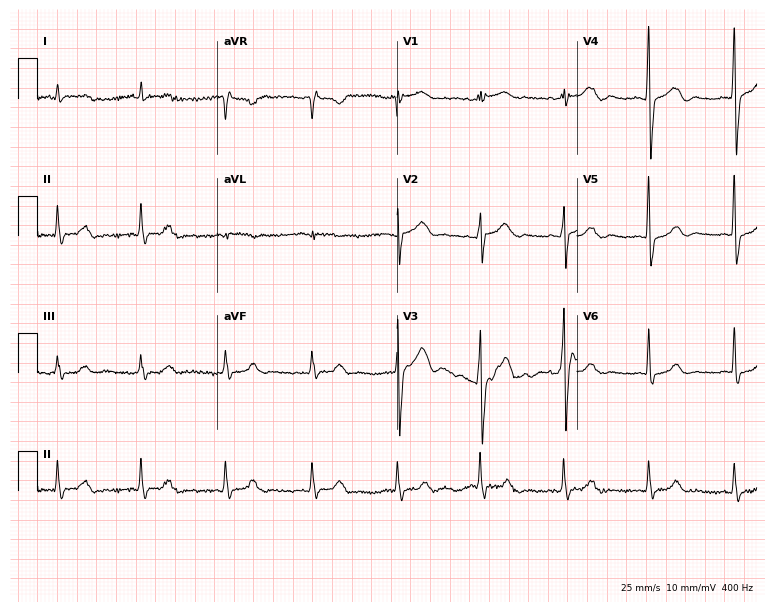
Standard 12-lead ECG recorded from a male patient, 76 years old (7.3-second recording at 400 Hz). None of these six findings is recorded: first-degree AV block, right bundle branch block (RBBB), left bundle branch block (LBBB), sinus bradycardia, atrial fibrillation (AF), sinus tachycardia. Other findings, if any, are not listed.